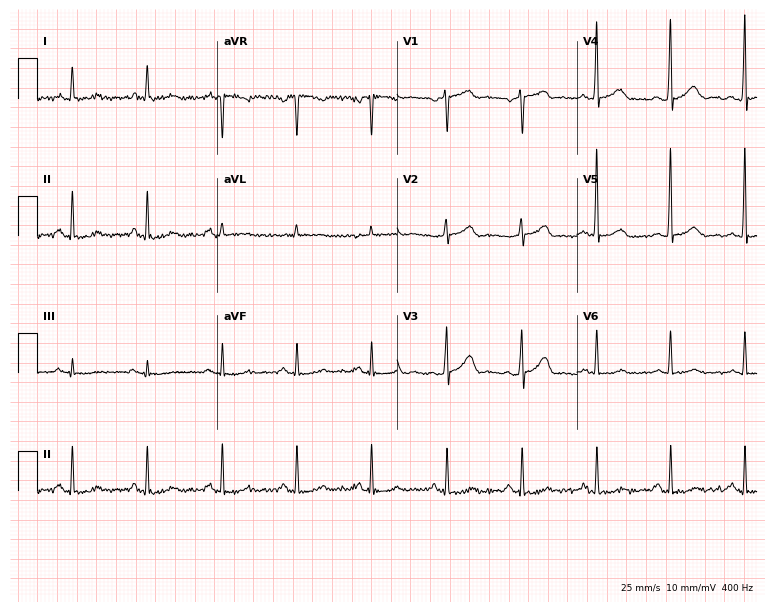
12-lead ECG from a 73-year-old man (7.3-second recording at 400 Hz). No first-degree AV block, right bundle branch block, left bundle branch block, sinus bradycardia, atrial fibrillation or sinus tachycardia recorded for this tracing.